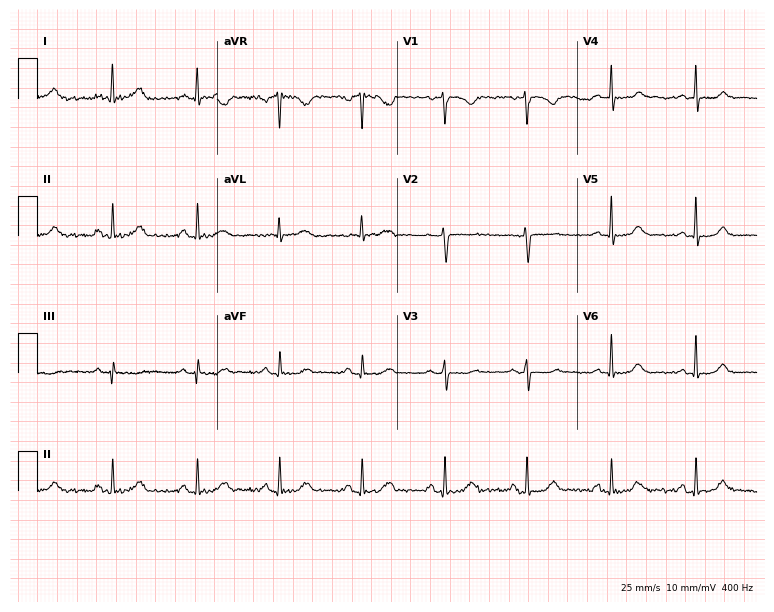
12-lead ECG from a 51-year-old female patient. Recorded interpretation: within normal limits.